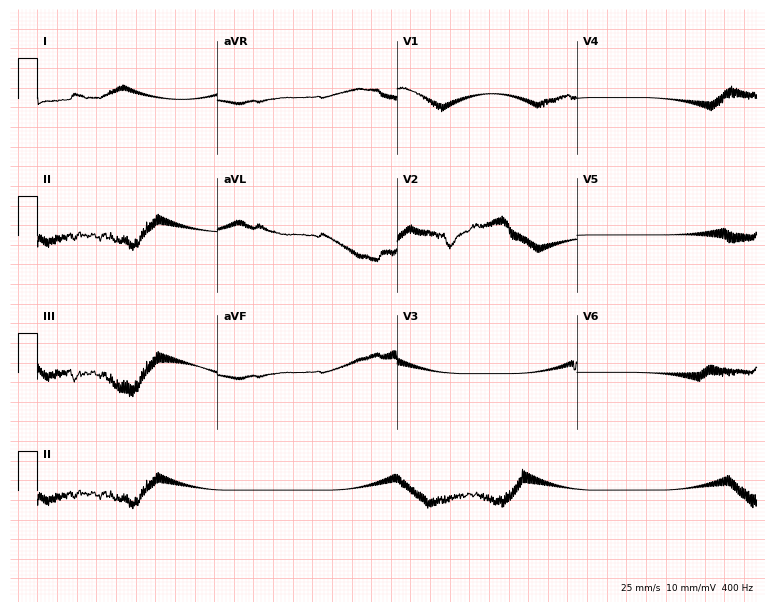
12-lead ECG from a male, 77 years old. No first-degree AV block, right bundle branch block, left bundle branch block, sinus bradycardia, atrial fibrillation or sinus tachycardia recorded for this tracing. Only these six findings were labelled.